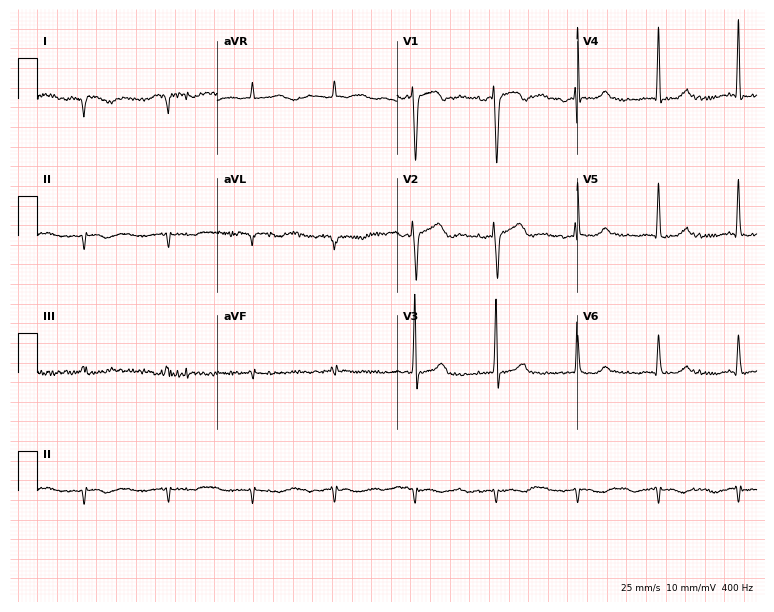
Standard 12-lead ECG recorded from a female patient, 82 years old (7.3-second recording at 400 Hz). None of these six findings is recorded: first-degree AV block, right bundle branch block, left bundle branch block, sinus bradycardia, atrial fibrillation, sinus tachycardia.